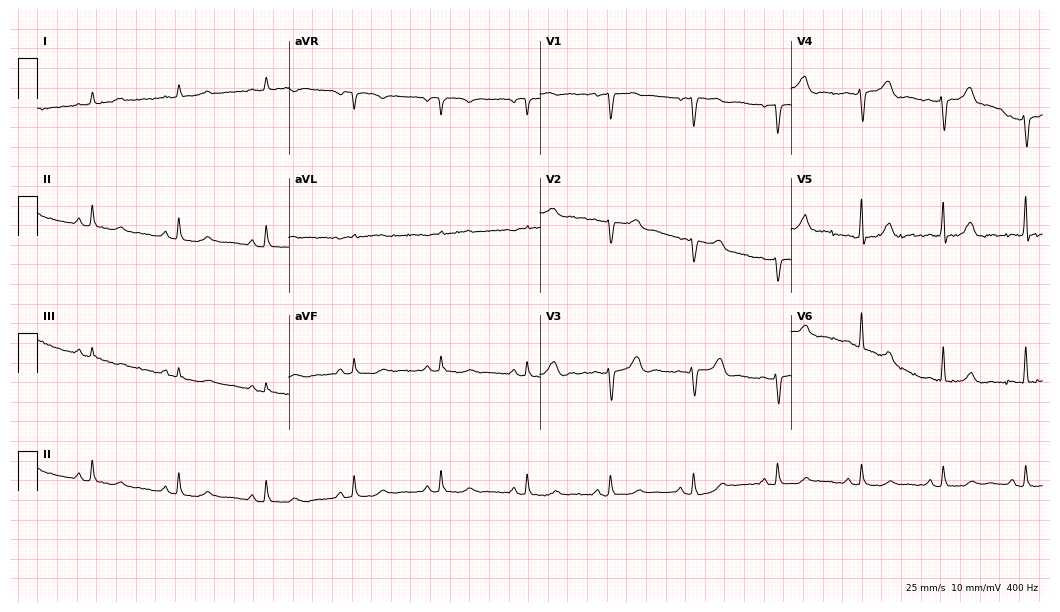
ECG — a 61-year-old woman. Labelled as a normal ECG.